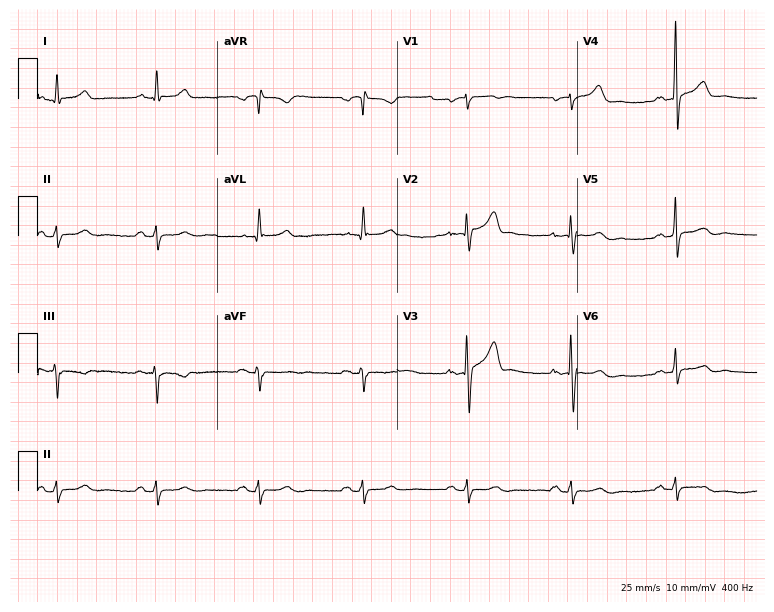
Resting 12-lead electrocardiogram. Patient: a 62-year-old male. None of these six findings is recorded: first-degree AV block, right bundle branch block, left bundle branch block, sinus bradycardia, atrial fibrillation, sinus tachycardia.